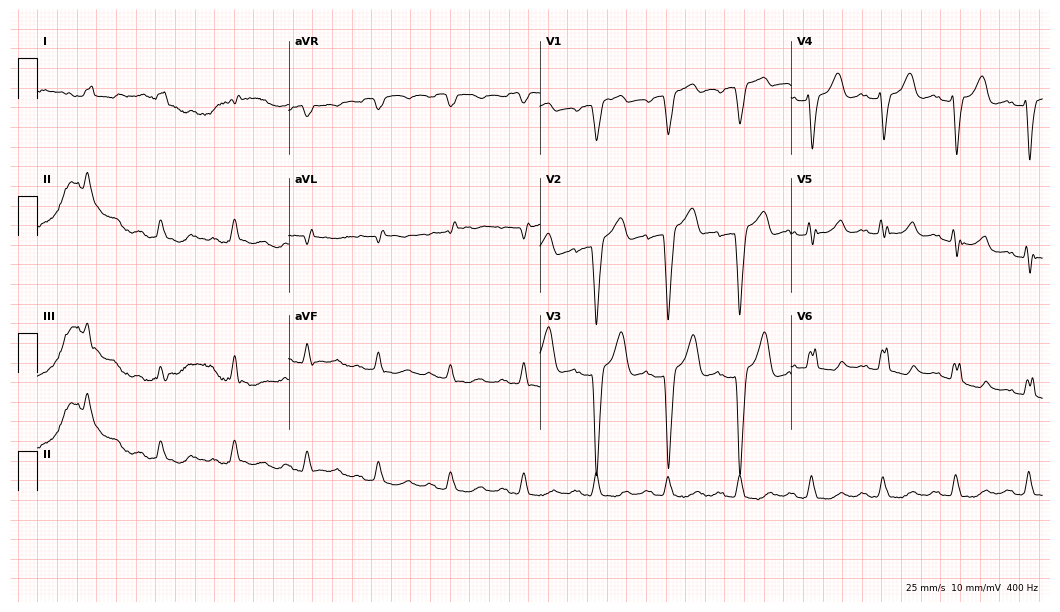
ECG — an 82-year-old female patient. Findings include left bundle branch block.